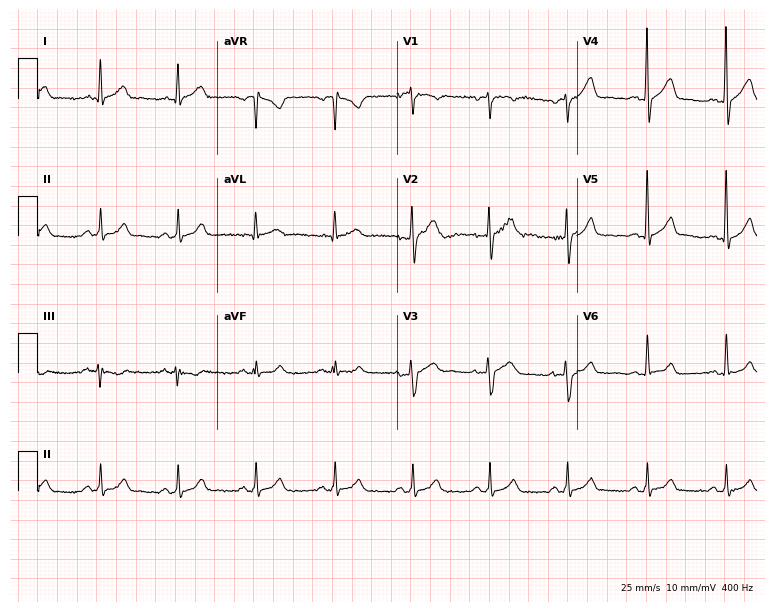
12-lead ECG from a 48-year-old man (7.3-second recording at 400 Hz). No first-degree AV block, right bundle branch block, left bundle branch block, sinus bradycardia, atrial fibrillation or sinus tachycardia recorded for this tracing. Only these six findings were labelled.